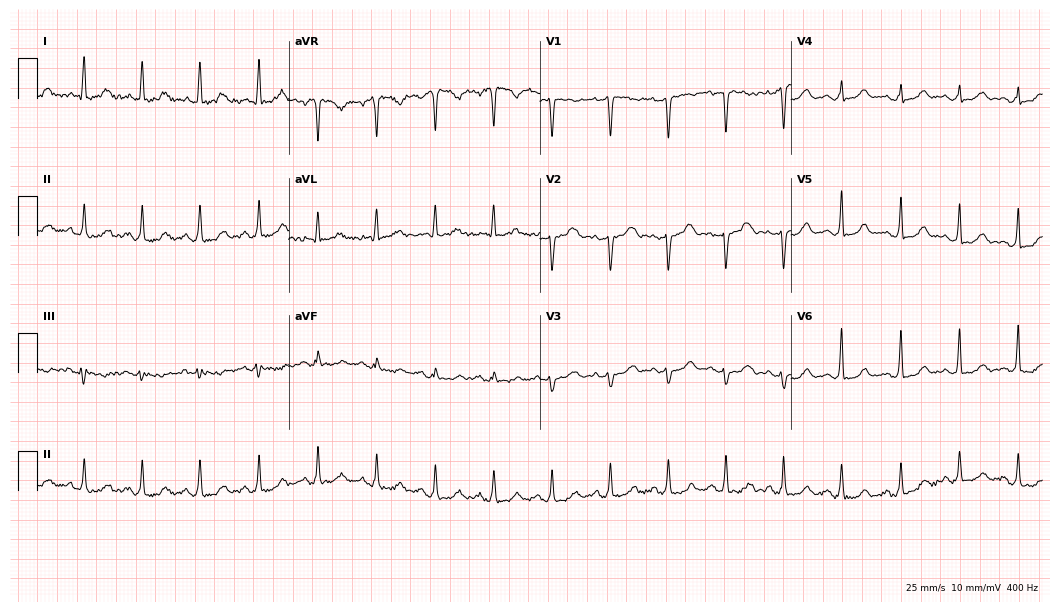
Resting 12-lead electrocardiogram. Patient: a female, 55 years old. The tracing shows sinus tachycardia (a sinus rate of 100 beats per minute or more).